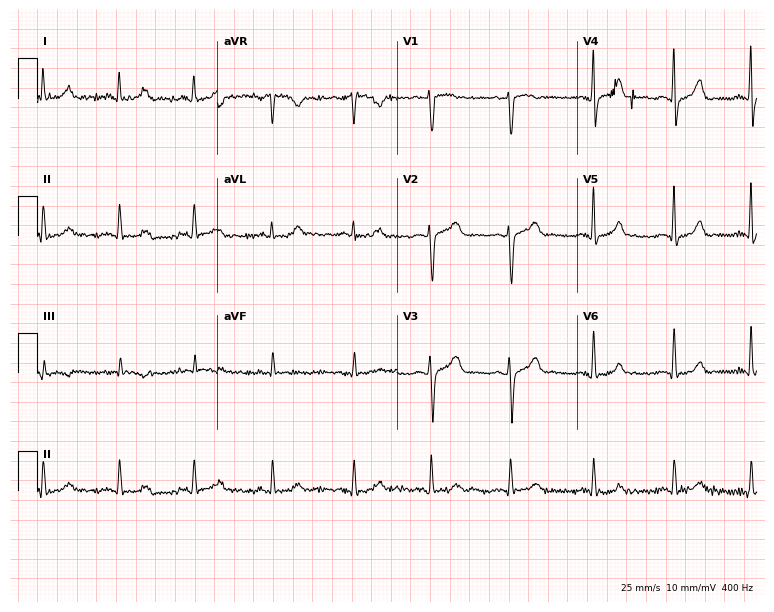
Resting 12-lead electrocardiogram. Patient: a 29-year-old female. Read as a normal ECG.